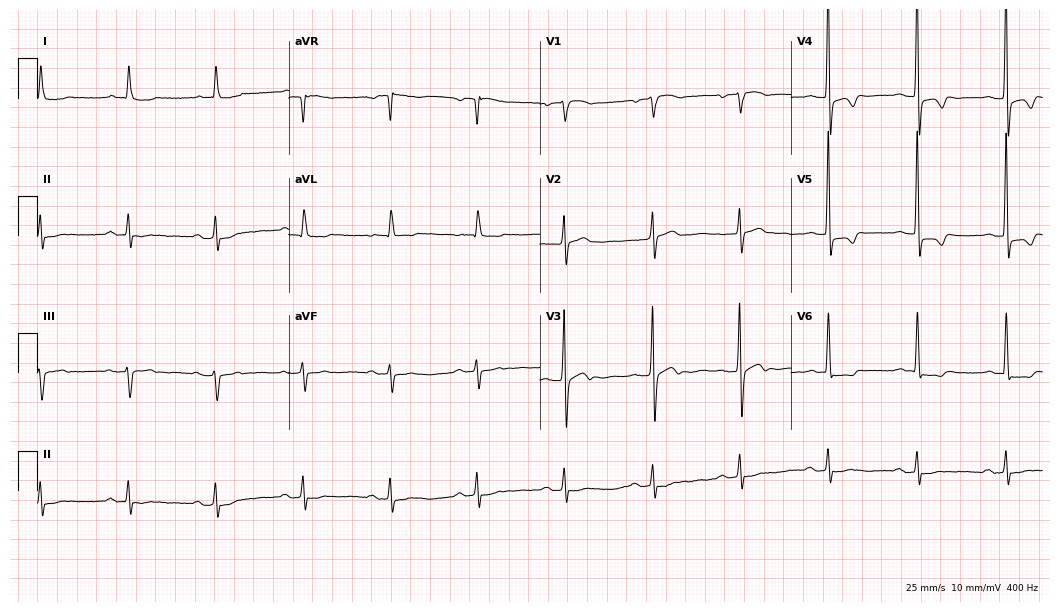
12-lead ECG from a woman, 75 years old. No first-degree AV block, right bundle branch block (RBBB), left bundle branch block (LBBB), sinus bradycardia, atrial fibrillation (AF) or sinus tachycardia recorded for this tracing. Findings outside these six are not listed.